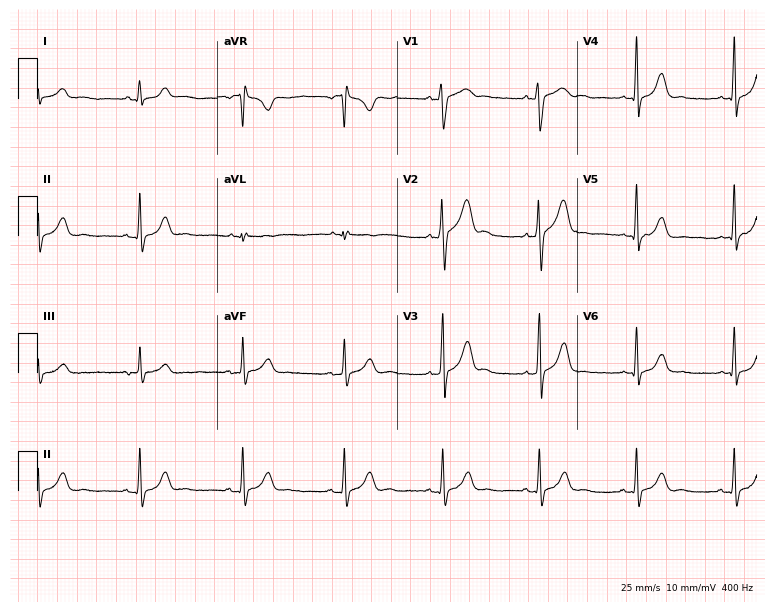
12-lead ECG from a male patient, 23 years old. Recorded interpretation: within normal limits.